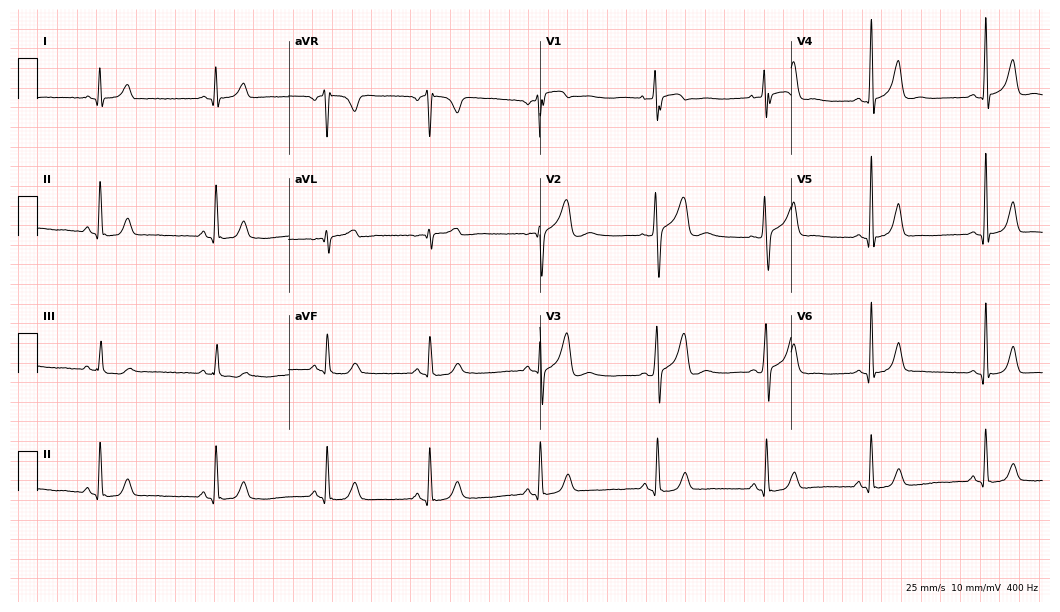
ECG — a woman, 30 years old. Labelled as a normal ECG.